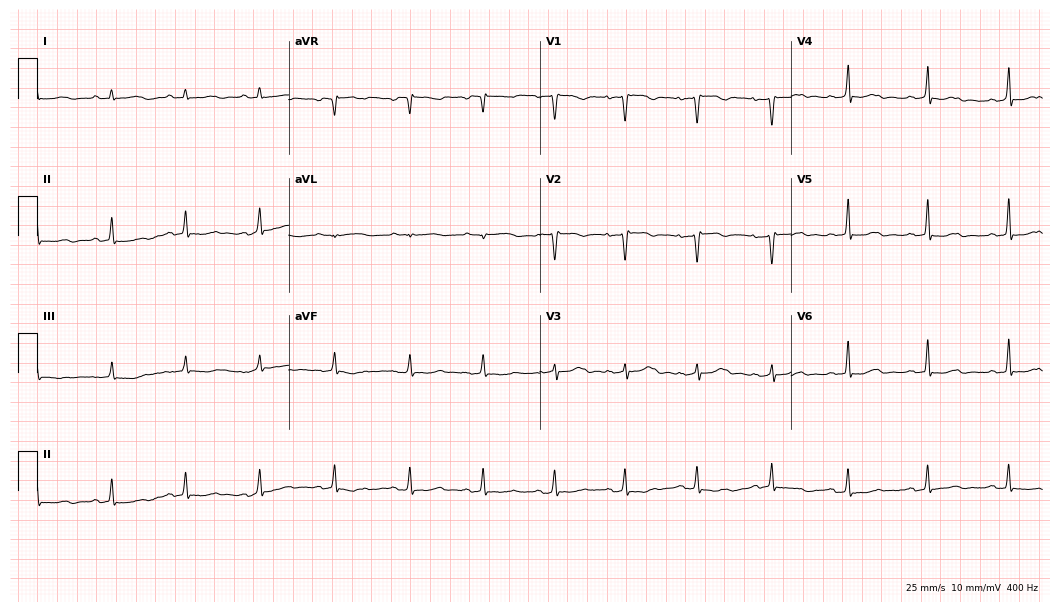
12-lead ECG from a 32-year-old female. No first-degree AV block, right bundle branch block, left bundle branch block, sinus bradycardia, atrial fibrillation or sinus tachycardia recorded for this tracing. Other findings, if any, are not listed.